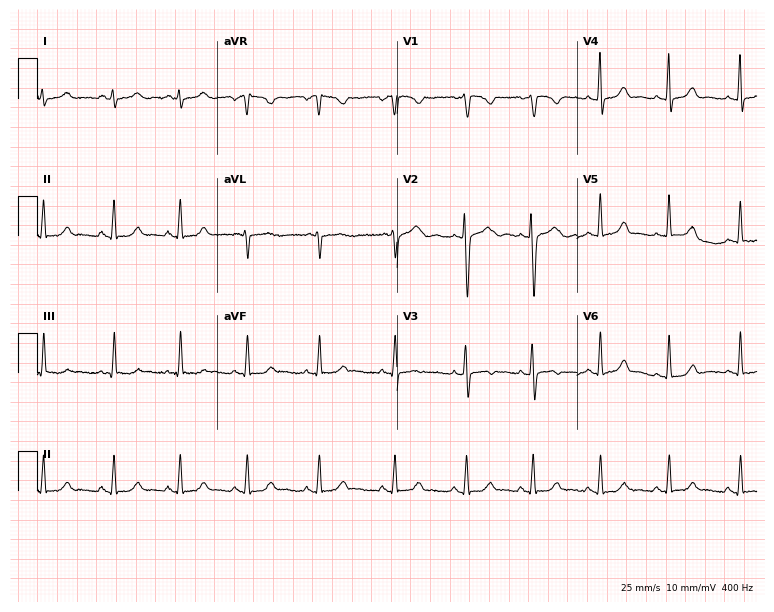
Standard 12-lead ECG recorded from a 22-year-old female. Read as a normal ECG.